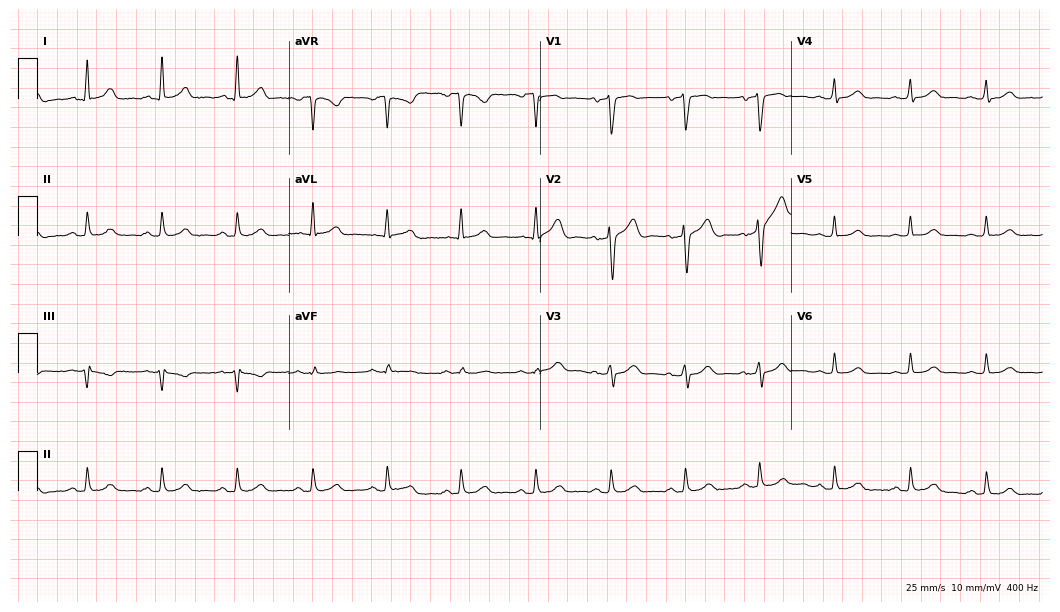
12-lead ECG from a 47-year-old male patient. Labelled as a normal ECG.